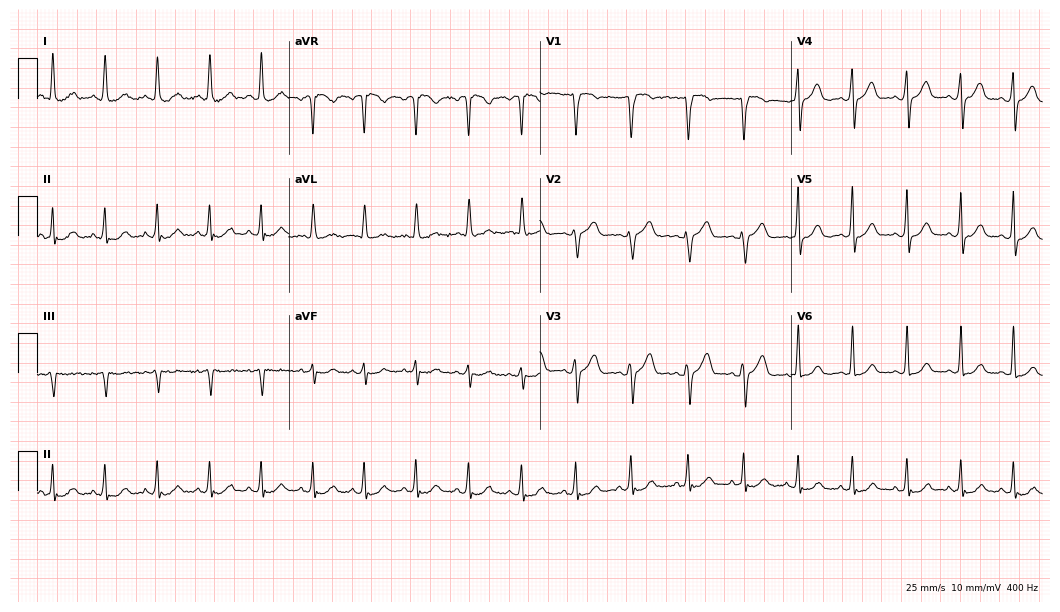
Resting 12-lead electrocardiogram. Patient: a woman, 30 years old. The tracing shows sinus tachycardia (a sinus rate of 100 beats per minute or more).